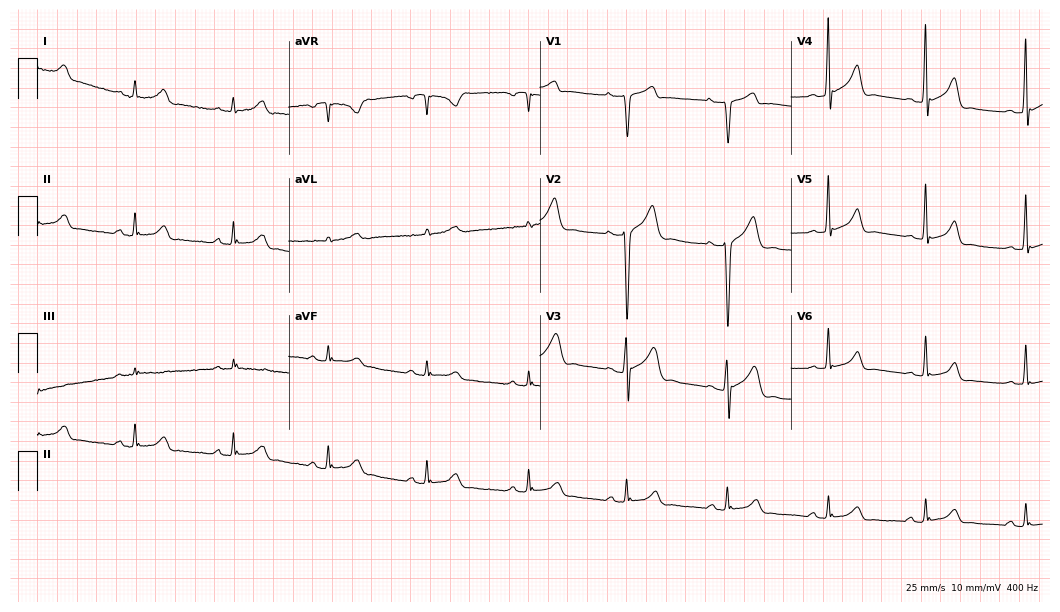
Resting 12-lead electrocardiogram (10.2-second recording at 400 Hz). Patient: a 30-year-old male. None of these six findings is recorded: first-degree AV block, right bundle branch block, left bundle branch block, sinus bradycardia, atrial fibrillation, sinus tachycardia. Other findings, if any, are not listed.